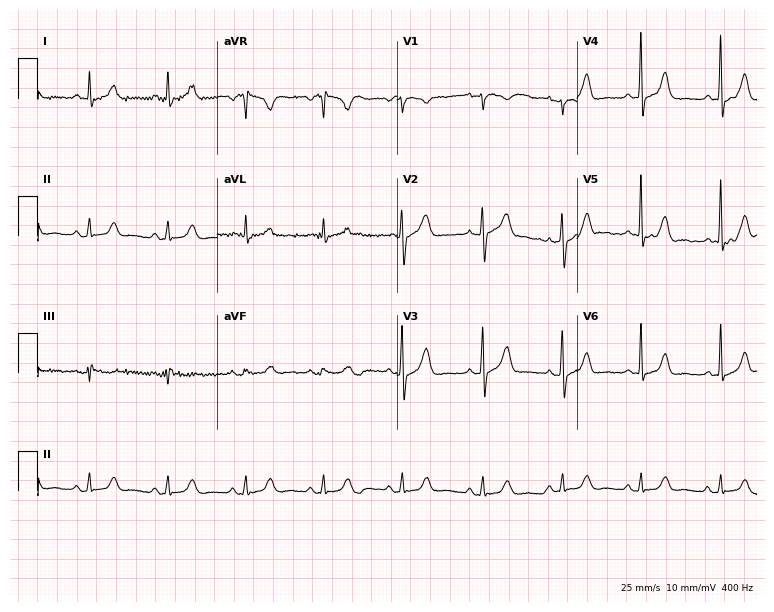
ECG (7.3-second recording at 400 Hz) — a 41-year-old female. Screened for six findings — first-degree AV block, right bundle branch block, left bundle branch block, sinus bradycardia, atrial fibrillation, sinus tachycardia — none is recorded.